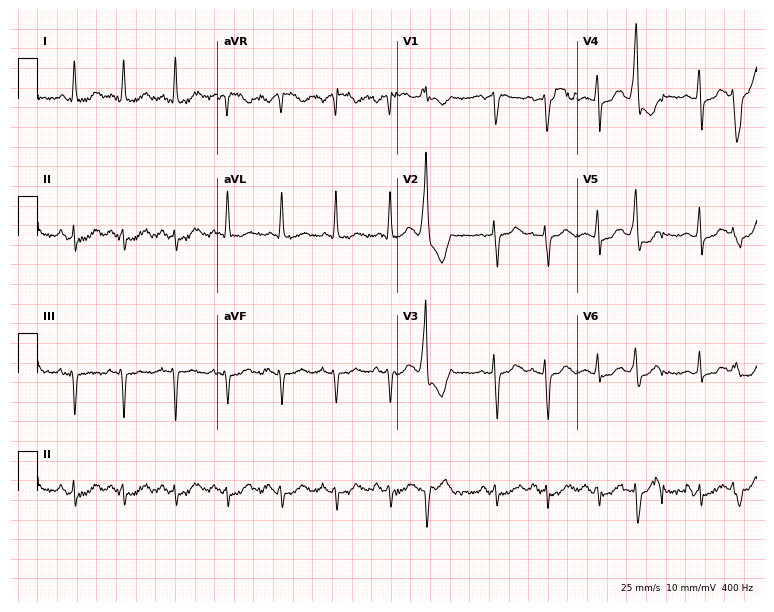
ECG (7.3-second recording at 400 Hz) — a female patient, 76 years old. Screened for six findings — first-degree AV block, right bundle branch block, left bundle branch block, sinus bradycardia, atrial fibrillation, sinus tachycardia — none is recorded. Other findings, if any, are not listed.